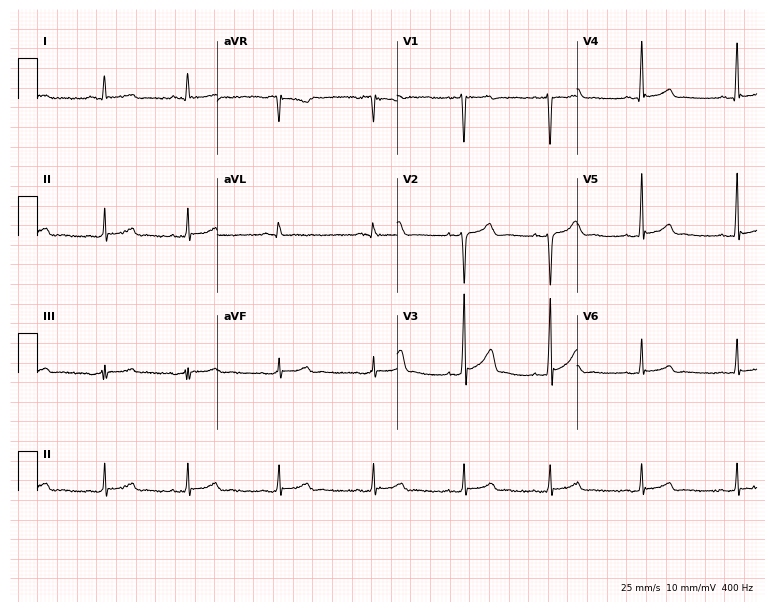
12-lead ECG from a male, 23 years old. Labelled as a normal ECG.